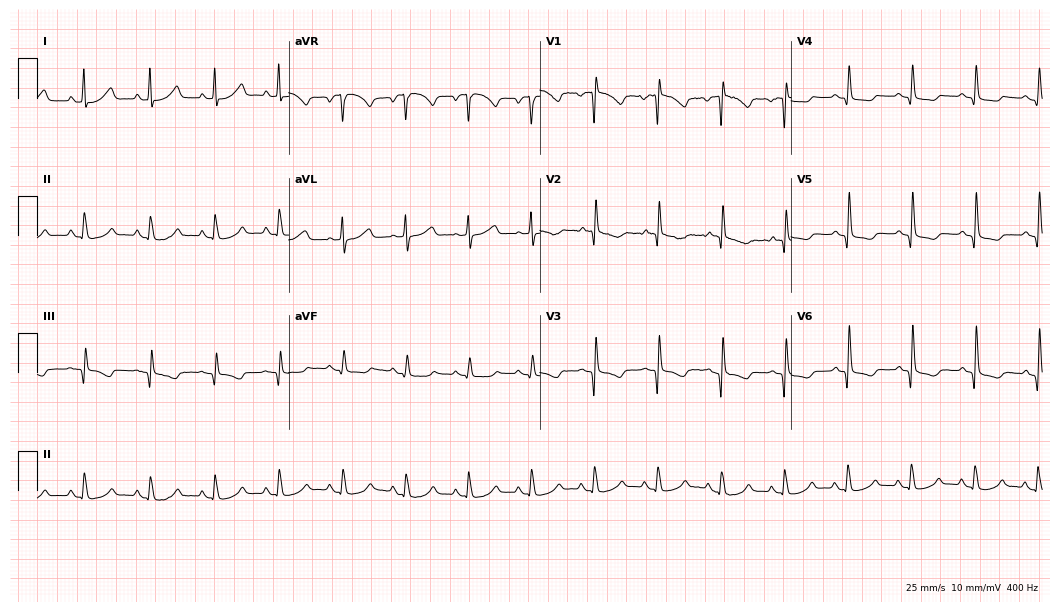
ECG — an 80-year-old female patient. Screened for six findings — first-degree AV block, right bundle branch block, left bundle branch block, sinus bradycardia, atrial fibrillation, sinus tachycardia — none is recorded.